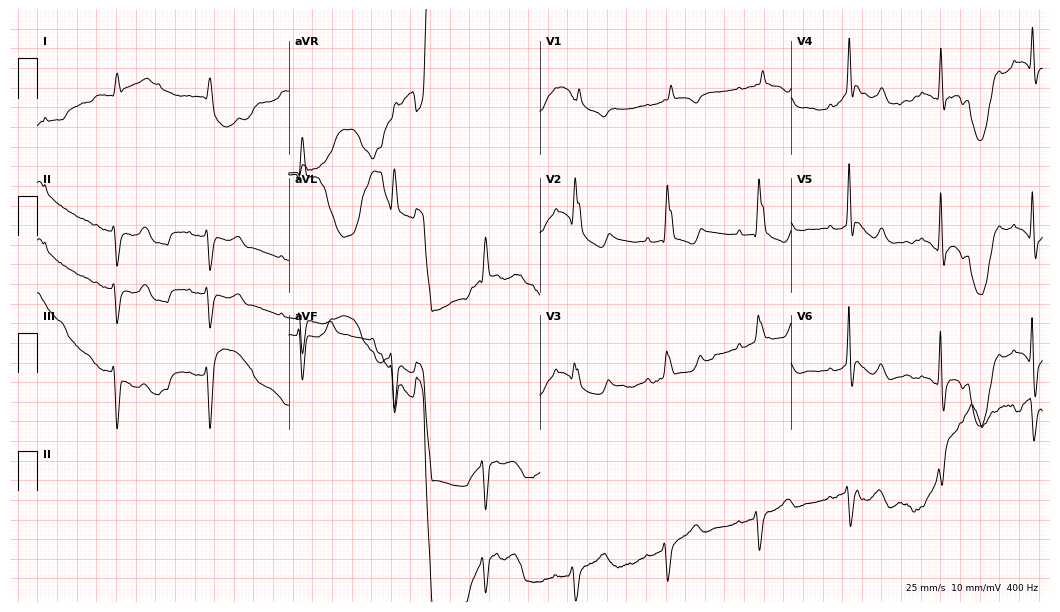
12-lead ECG from a man, 82 years old. Screened for six findings — first-degree AV block, right bundle branch block, left bundle branch block, sinus bradycardia, atrial fibrillation, sinus tachycardia — none is recorded. Other findings, if any, are not listed.